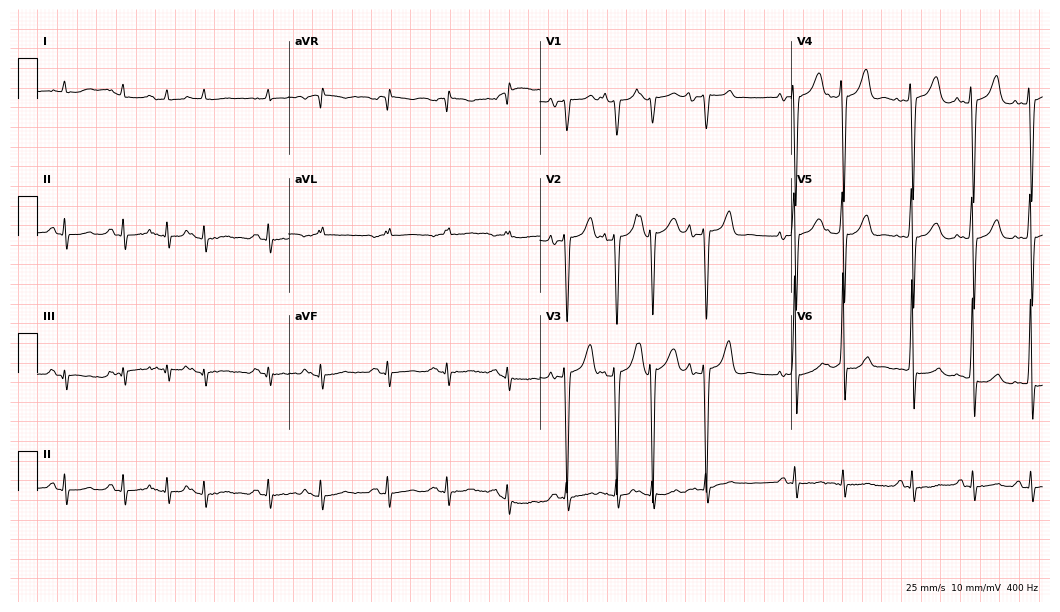
12-lead ECG from a male, 65 years old. No first-degree AV block, right bundle branch block (RBBB), left bundle branch block (LBBB), sinus bradycardia, atrial fibrillation (AF) or sinus tachycardia recorded for this tracing.